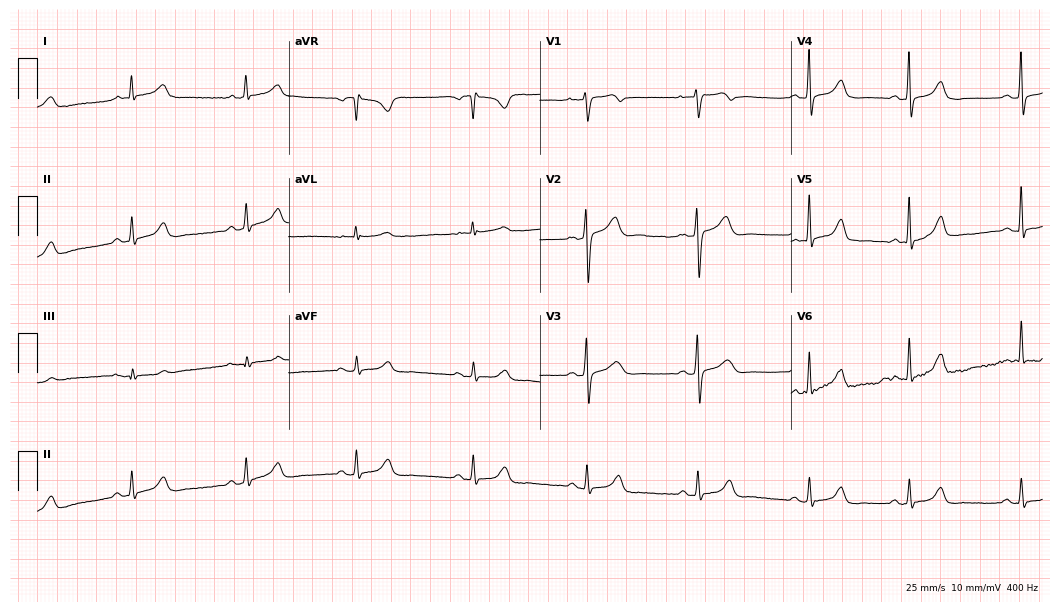
12-lead ECG from a female patient, 56 years old (10.2-second recording at 400 Hz). Recorded interpretation: within normal limits.